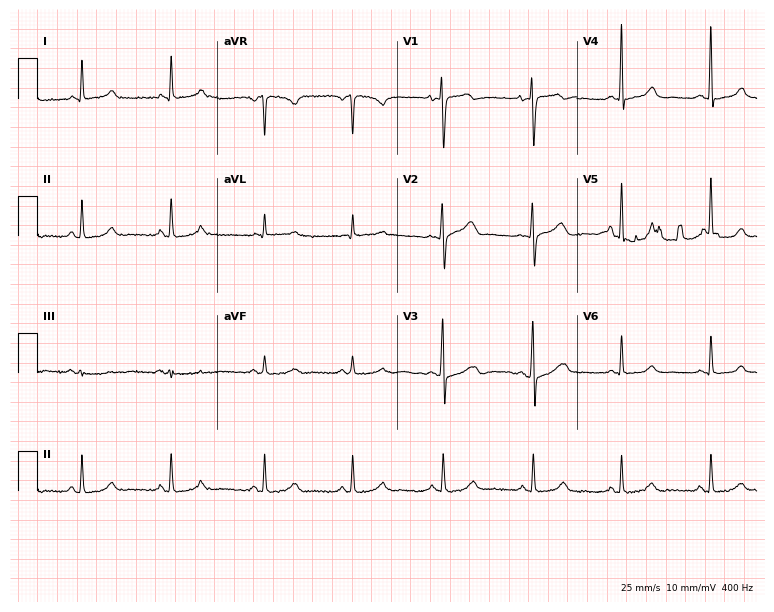
ECG — a woman, 32 years old. Screened for six findings — first-degree AV block, right bundle branch block (RBBB), left bundle branch block (LBBB), sinus bradycardia, atrial fibrillation (AF), sinus tachycardia — none is recorded.